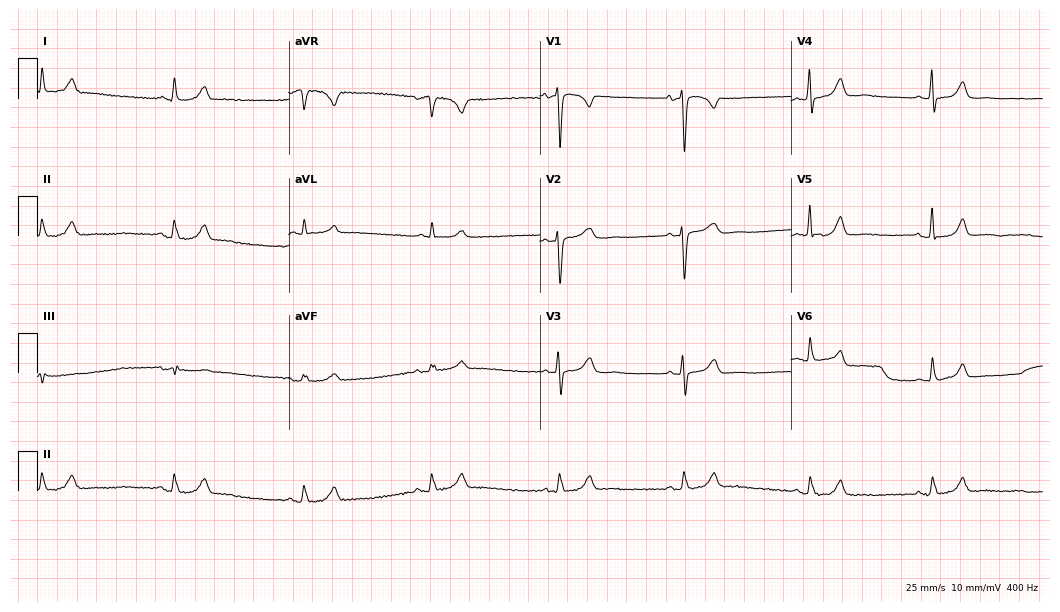
ECG — a woman, 70 years old. Labelled as a normal ECG.